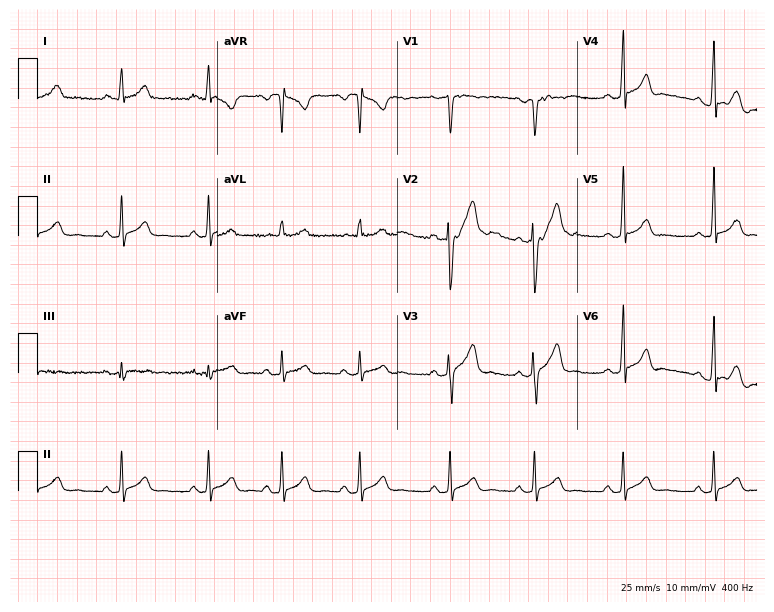
ECG (7.3-second recording at 400 Hz) — a man, 26 years old. Labelled as a normal ECG.